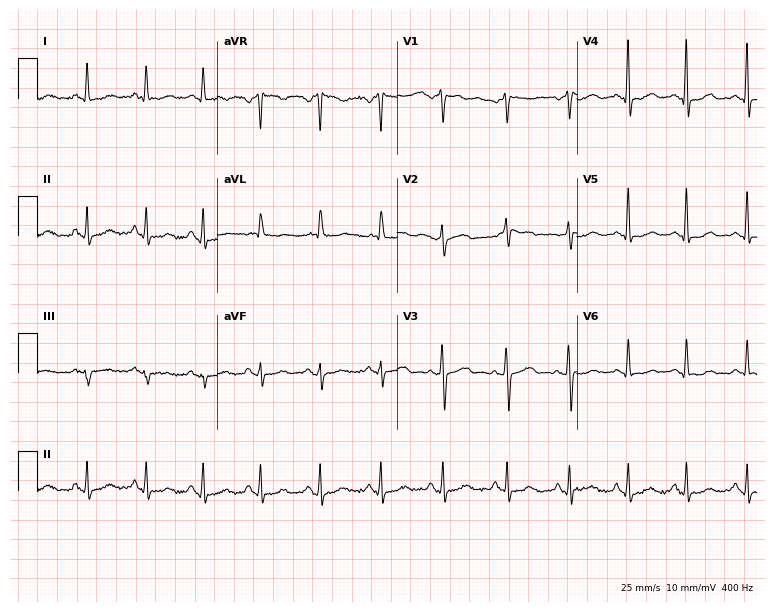
ECG (7.3-second recording at 400 Hz) — a 51-year-old woman. Screened for six findings — first-degree AV block, right bundle branch block, left bundle branch block, sinus bradycardia, atrial fibrillation, sinus tachycardia — none is recorded. Only these six findings were labelled.